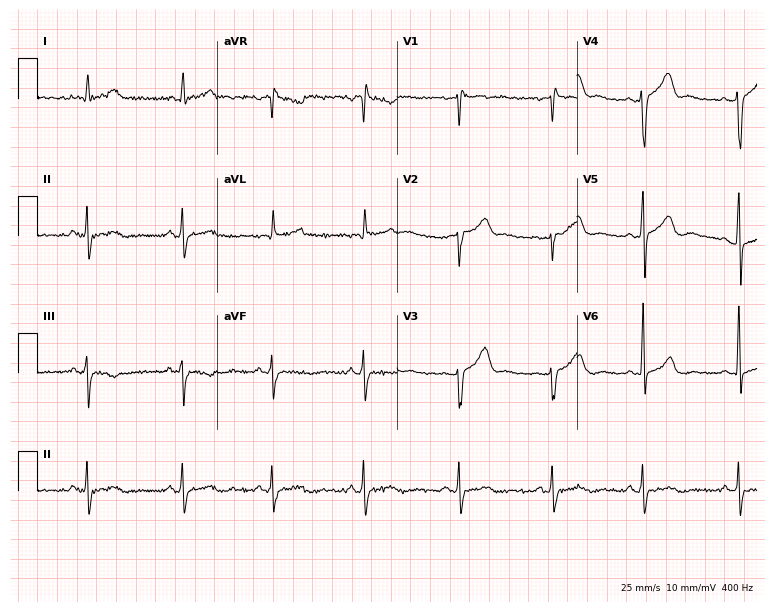
12-lead ECG from a 32-year-old man. Labelled as a normal ECG.